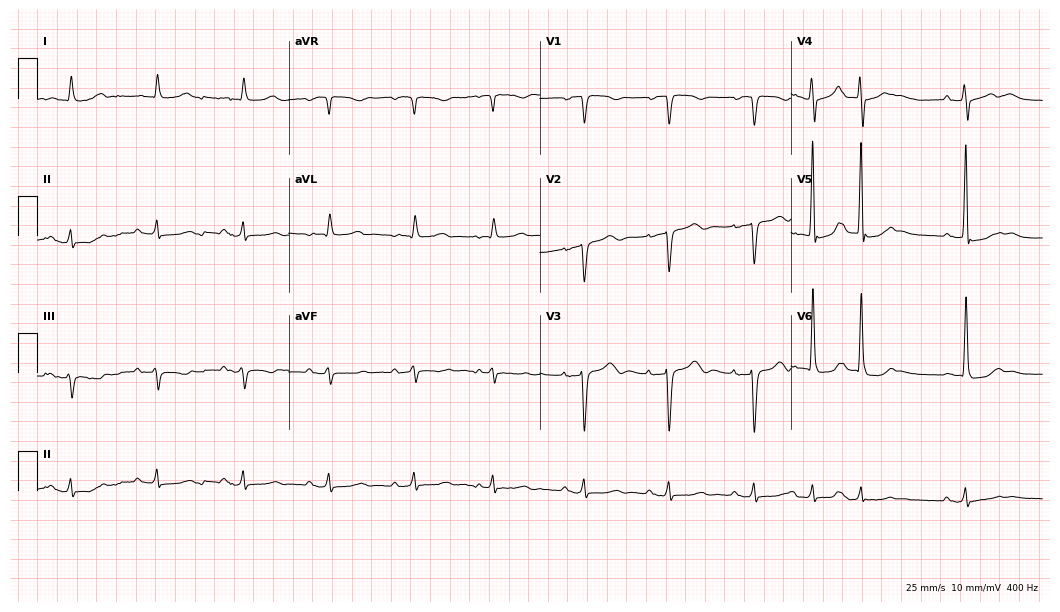
ECG — a man, 80 years old. Screened for six findings — first-degree AV block, right bundle branch block, left bundle branch block, sinus bradycardia, atrial fibrillation, sinus tachycardia — none is recorded.